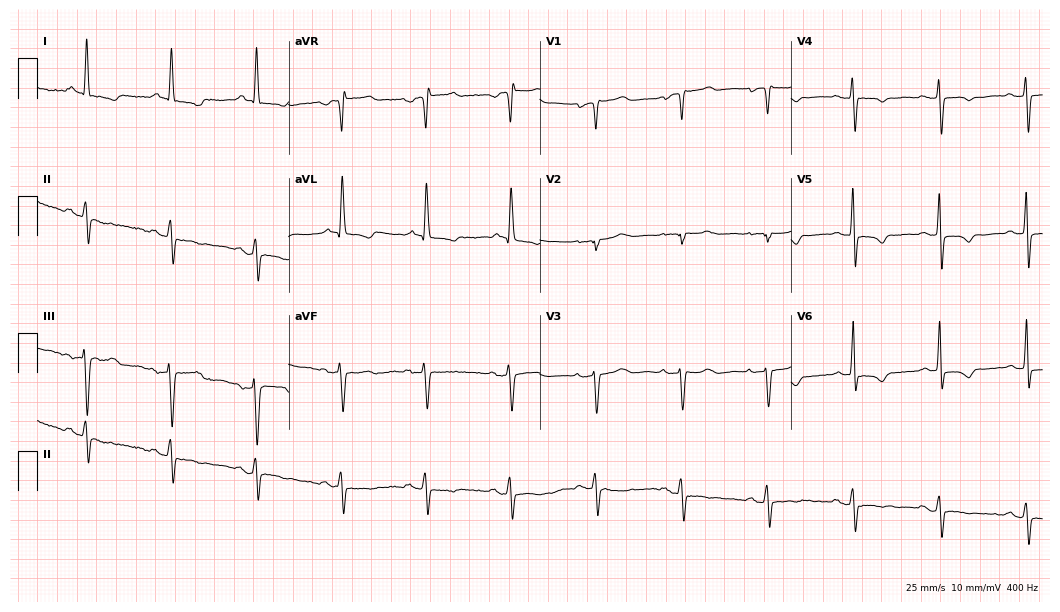
12-lead ECG from a female patient, 84 years old. No first-degree AV block, right bundle branch block (RBBB), left bundle branch block (LBBB), sinus bradycardia, atrial fibrillation (AF) or sinus tachycardia recorded for this tracing.